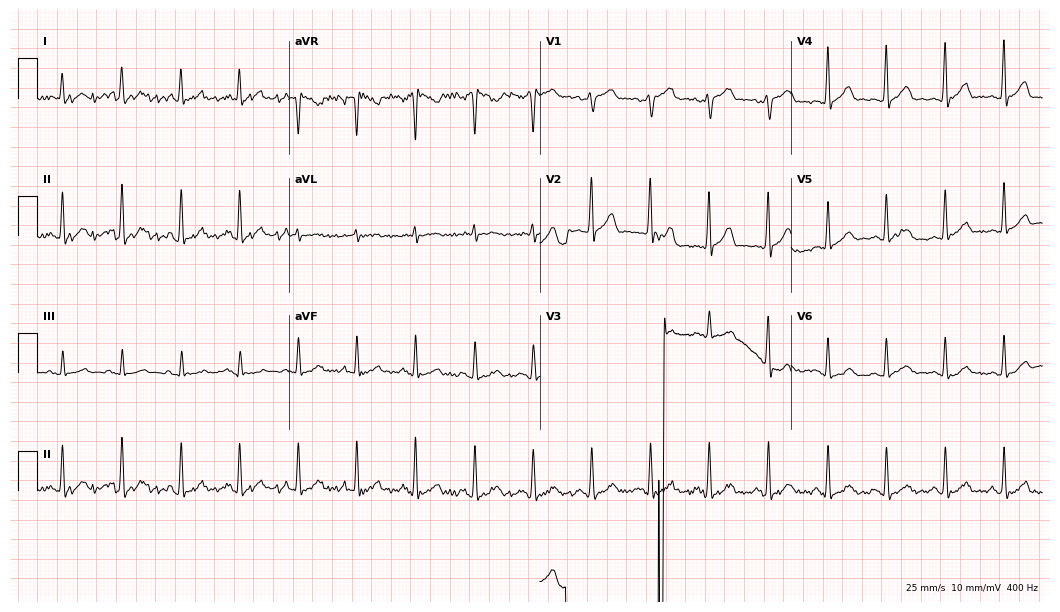
12-lead ECG from a male, 53 years old. No first-degree AV block, right bundle branch block (RBBB), left bundle branch block (LBBB), sinus bradycardia, atrial fibrillation (AF) or sinus tachycardia recorded for this tracing.